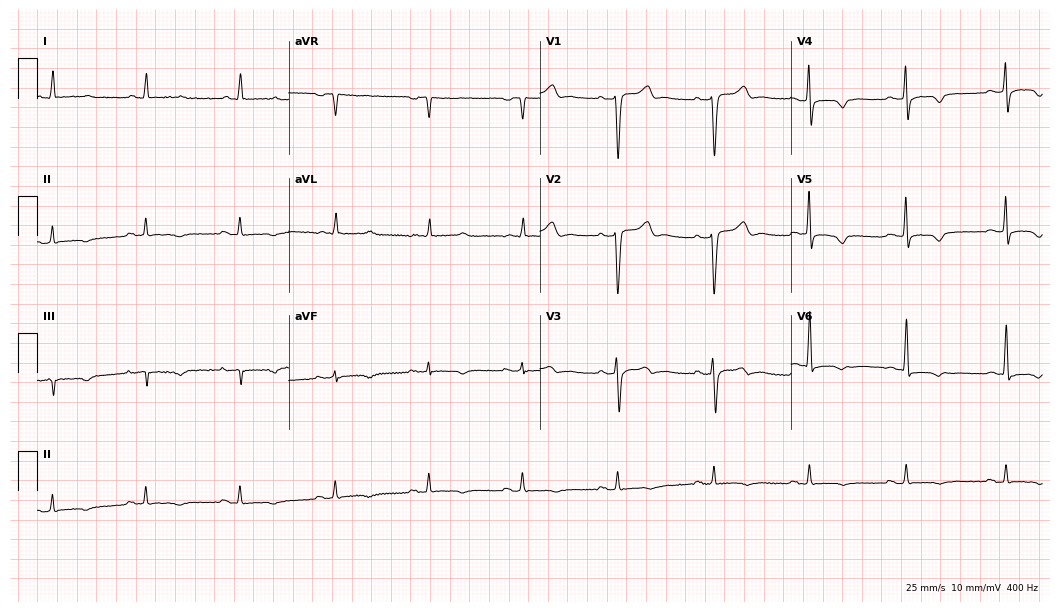
ECG — a male patient, 78 years old. Screened for six findings — first-degree AV block, right bundle branch block, left bundle branch block, sinus bradycardia, atrial fibrillation, sinus tachycardia — none is recorded.